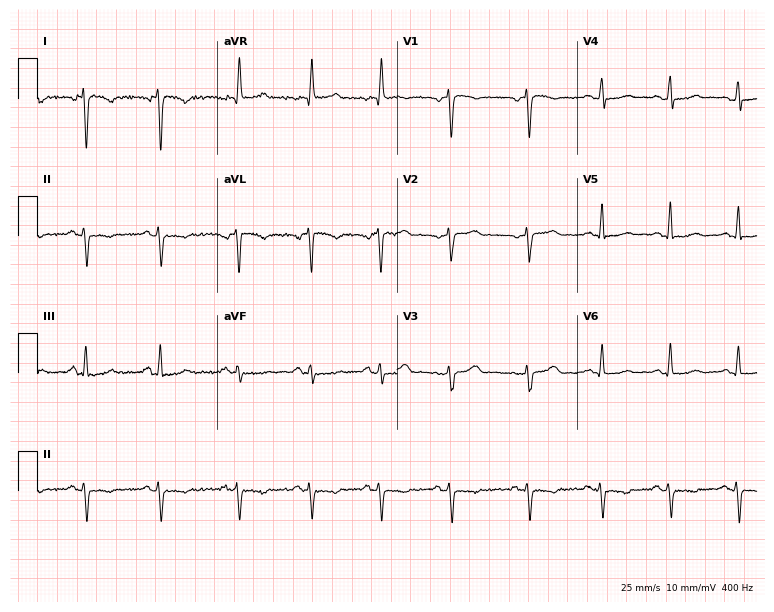
Electrocardiogram, a woman, 37 years old. Of the six screened findings (first-degree AV block, right bundle branch block, left bundle branch block, sinus bradycardia, atrial fibrillation, sinus tachycardia), none is recorded. Findings outside these six are not listed.